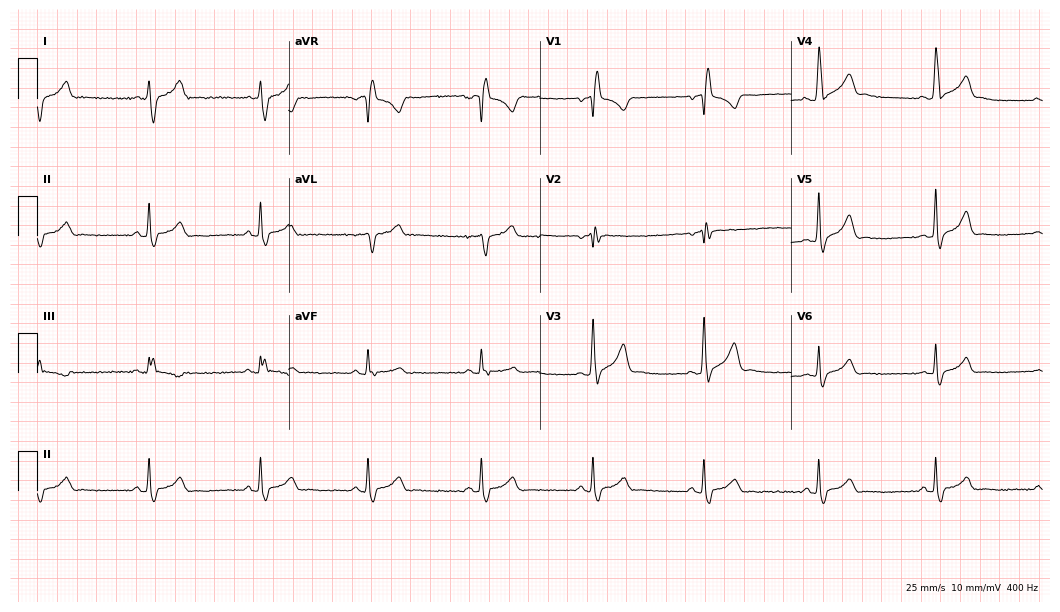
Electrocardiogram (10.2-second recording at 400 Hz), a male patient, 29 years old. Of the six screened findings (first-degree AV block, right bundle branch block (RBBB), left bundle branch block (LBBB), sinus bradycardia, atrial fibrillation (AF), sinus tachycardia), none is recorded.